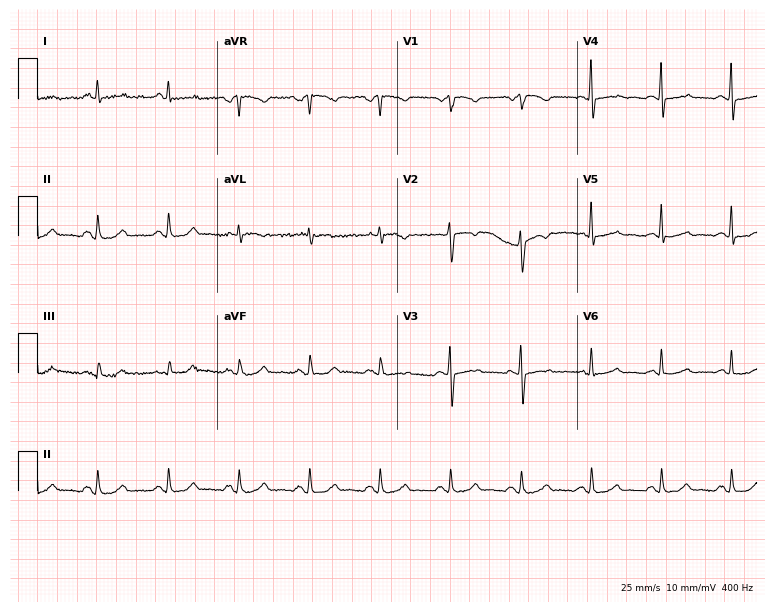
12-lead ECG from a male, 67 years old. Screened for six findings — first-degree AV block, right bundle branch block, left bundle branch block, sinus bradycardia, atrial fibrillation, sinus tachycardia — none is recorded.